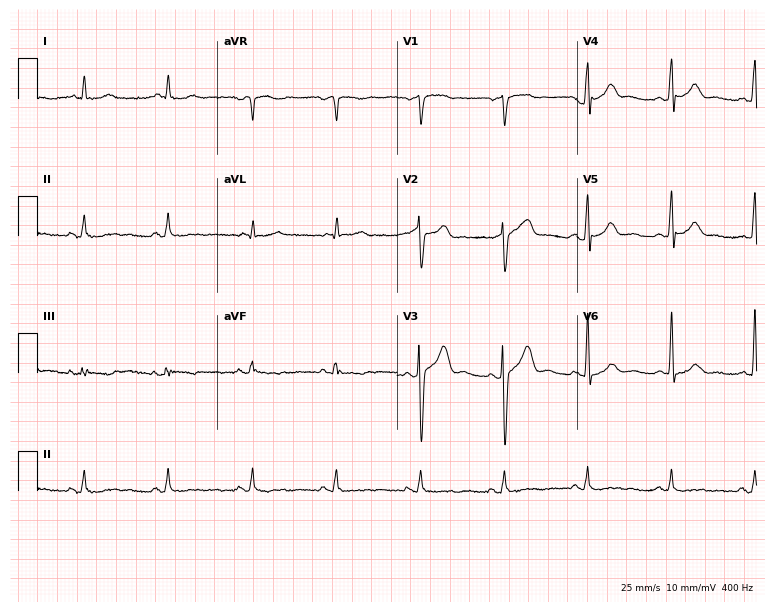
12-lead ECG from a male, 59 years old. No first-degree AV block, right bundle branch block (RBBB), left bundle branch block (LBBB), sinus bradycardia, atrial fibrillation (AF) or sinus tachycardia recorded for this tracing. Other findings, if any, are not listed.